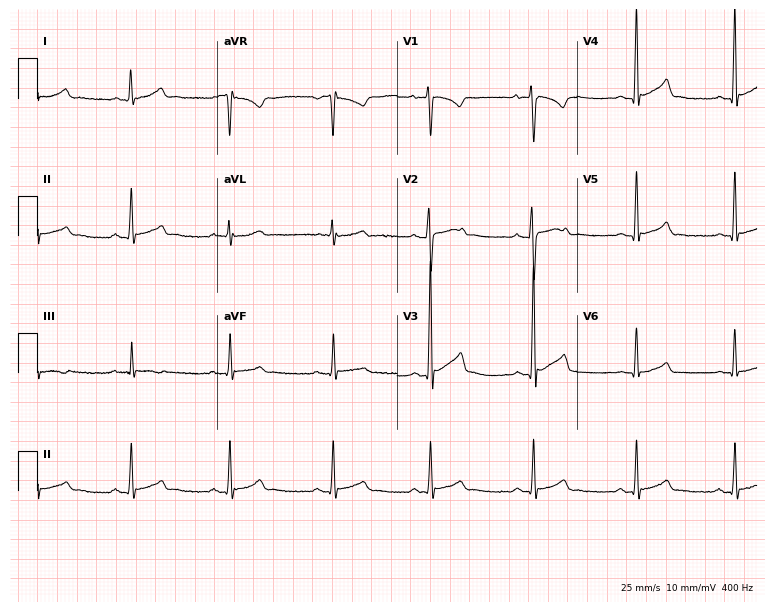
Resting 12-lead electrocardiogram (7.3-second recording at 400 Hz). Patient: an 18-year-old man. Read as a normal ECG.